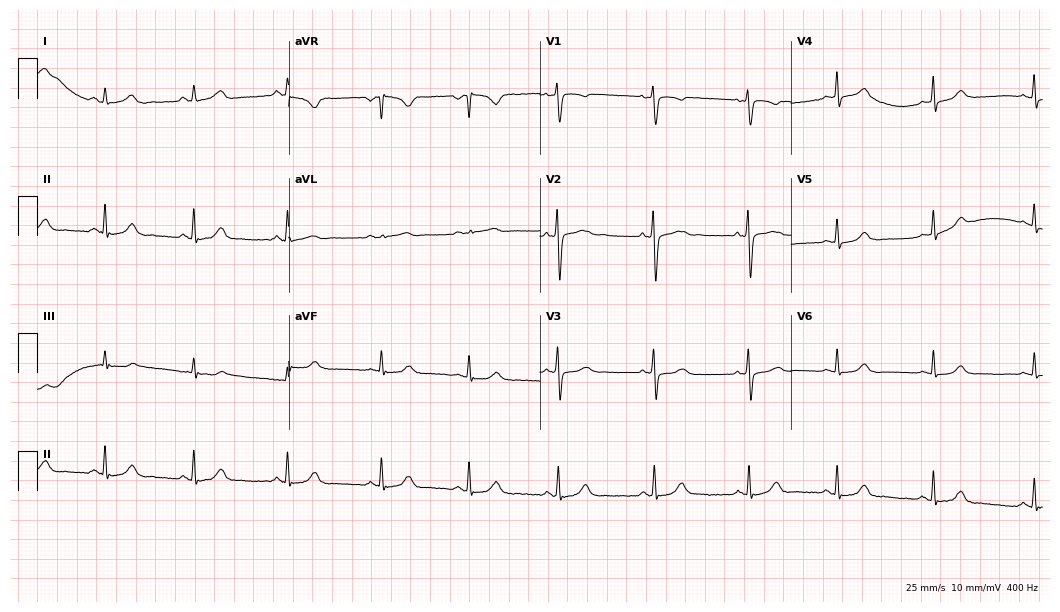
12-lead ECG (10.2-second recording at 400 Hz) from a female, 36 years old. Screened for six findings — first-degree AV block, right bundle branch block, left bundle branch block, sinus bradycardia, atrial fibrillation, sinus tachycardia — none is recorded. Only these six findings were labelled.